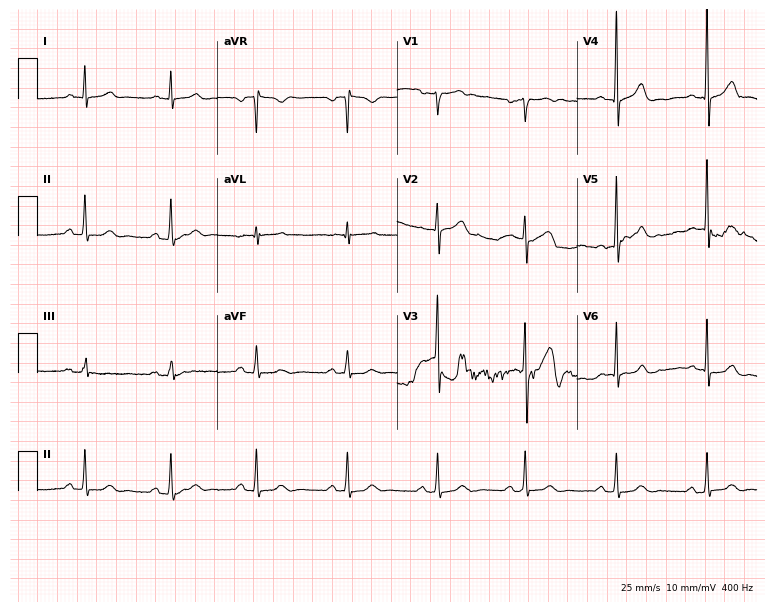
ECG (7.3-second recording at 400 Hz) — a 57-year-old male patient. Labelled as a normal ECG.